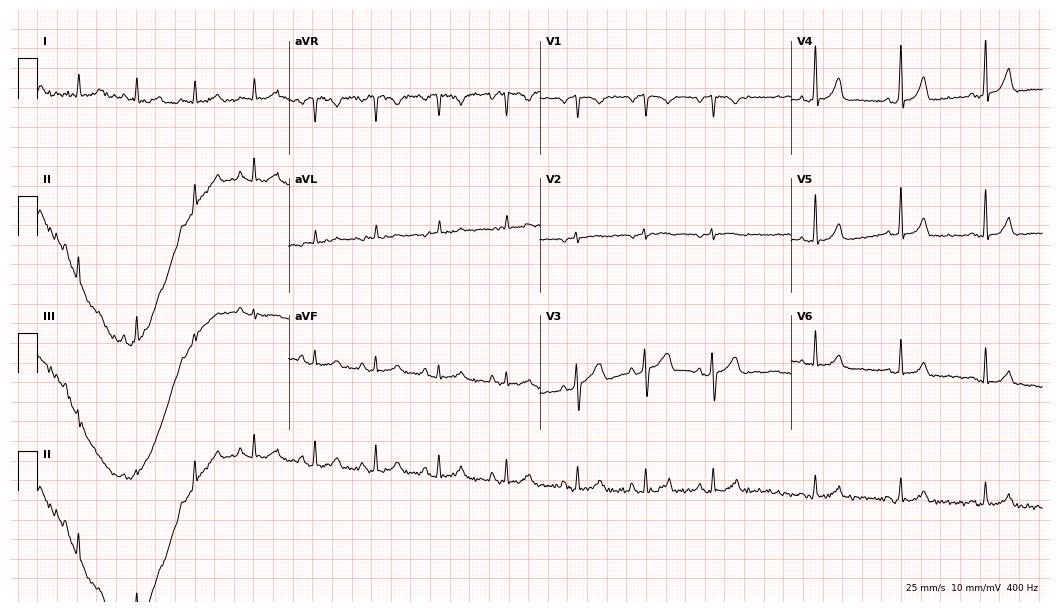
12-lead ECG from a man, 44 years old. Screened for six findings — first-degree AV block, right bundle branch block, left bundle branch block, sinus bradycardia, atrial fibrillation, sinus tachycardia — none is recorded. Only these six findings were labelled.